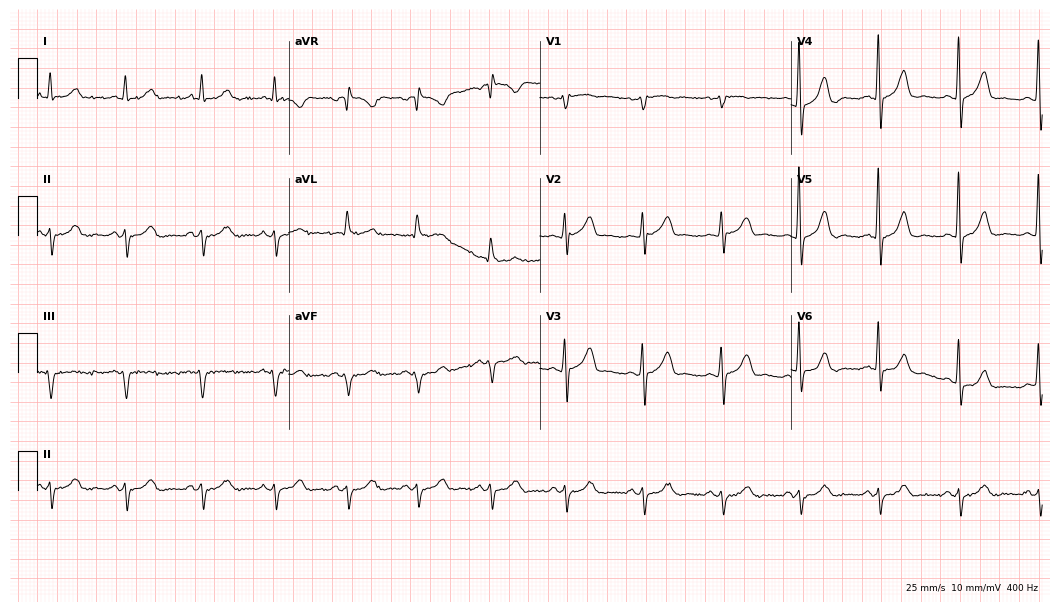
Standard 12-lead ECG recorded from a 63-year-old male patient (10.2-second recording at 400 Hz). None of these six findings is recorded: first-degree AV block, right bundle branch block (RBBB), left bundle branch block (LBBB), sinus bradycardia, atrial fibrillation (AF), sinus tachycardia.